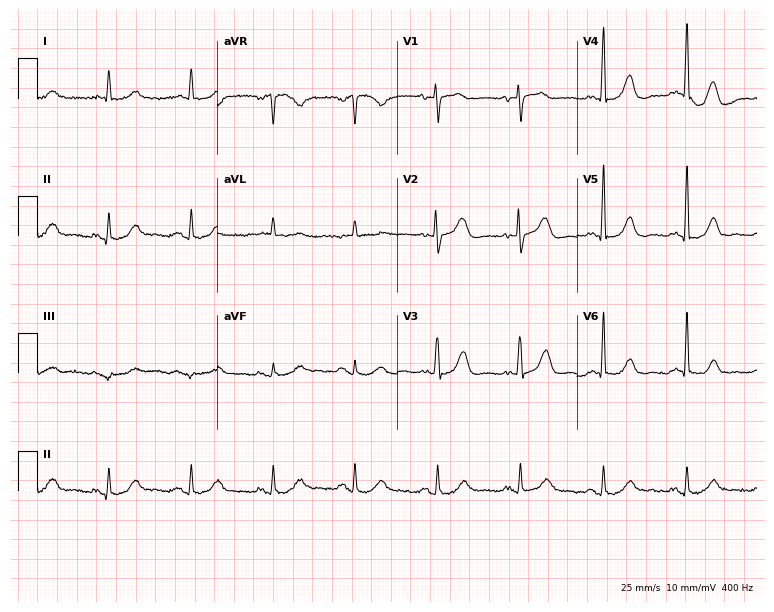
12-lead ECG from a woman, 81 years old. Screened for six findings — first-degree AV block, right bundle branch block, left bundle branch block, sinus bradycardia, atrial fibrillation, sinus tachycardia — none is recorded.